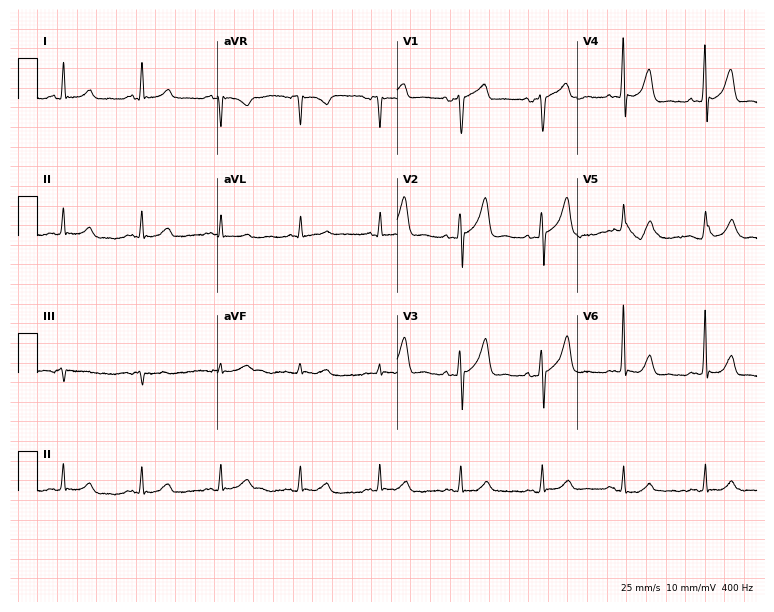
12-lead ECG from a man, 79 years old. Labelled as a normal ECG.